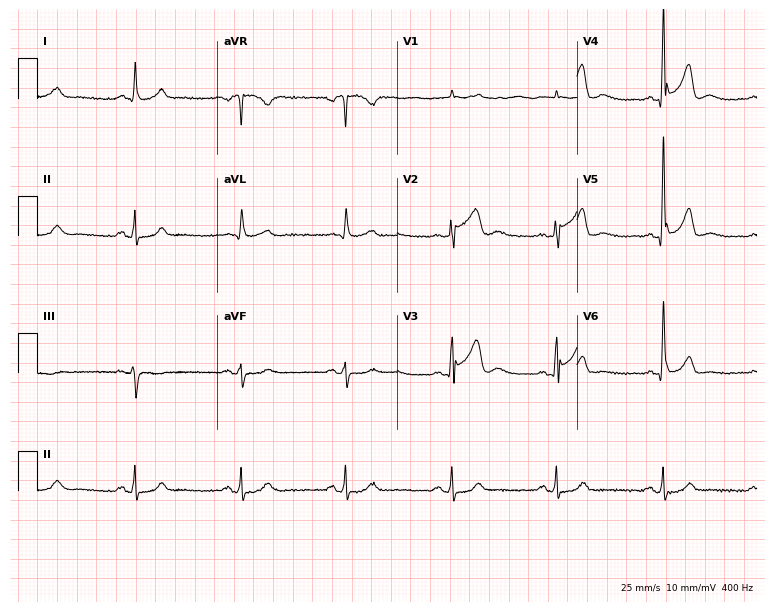
Resting 12-lead electrocardiogram. Patient: a 62-year-old man. None of these six findings is recorded: first-degree AV block, right bundle branch block (RBBB), left bundle branch block (LBBB), sinus bradycardia, atrial fibrillation (AF), sinus tachycardia.